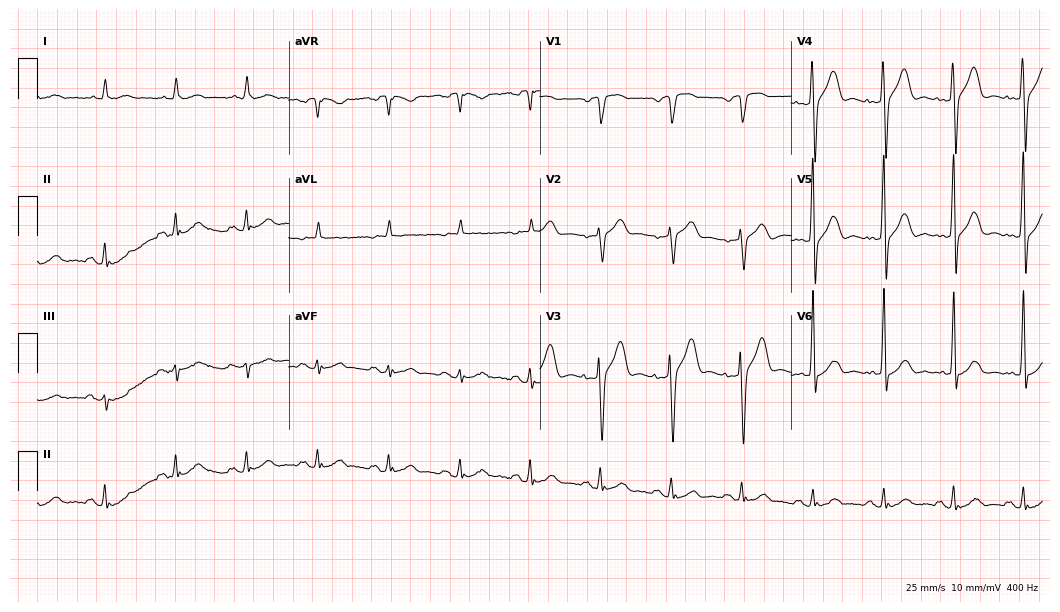
Resting 12-lead electrocardiogram. Patient: a 69-year-old male. None of these six findings is recorded: first-degree AV block, right bundle branch block, left bundle branch block, sinus bradycardia, atrial fibrillation, sinus tachycardia.